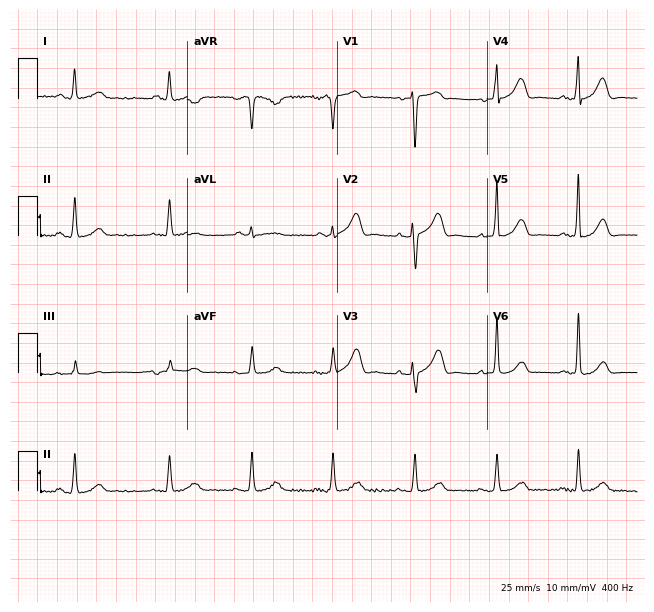
12-lead ECG from an 83-year-old female. Recorded interpretation: within normal limits.